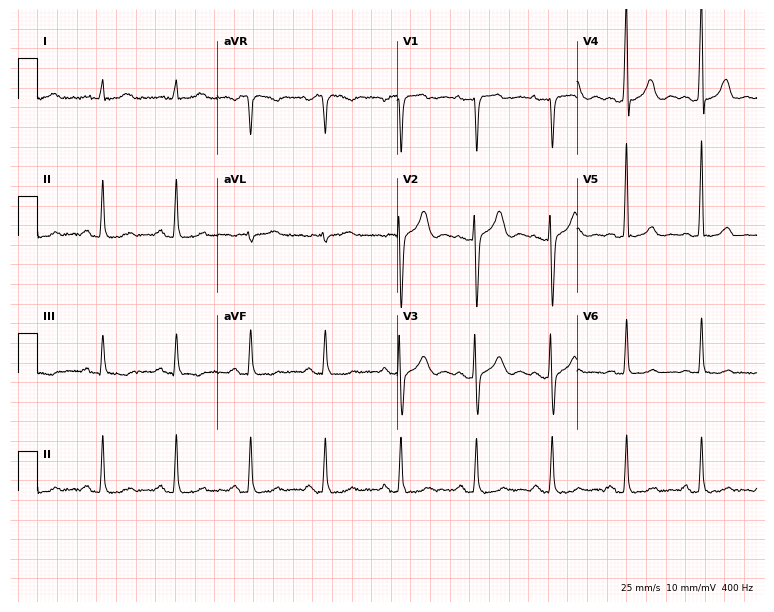
12-lead ECG from a male, 75 years old (7.3-second recording at 400 Hz). No first-degree AV block, right bundle branch block, left bundle branch block, sinus bradycardia, atrial fibrillation or sinus tachycardia recorded for this tracing.